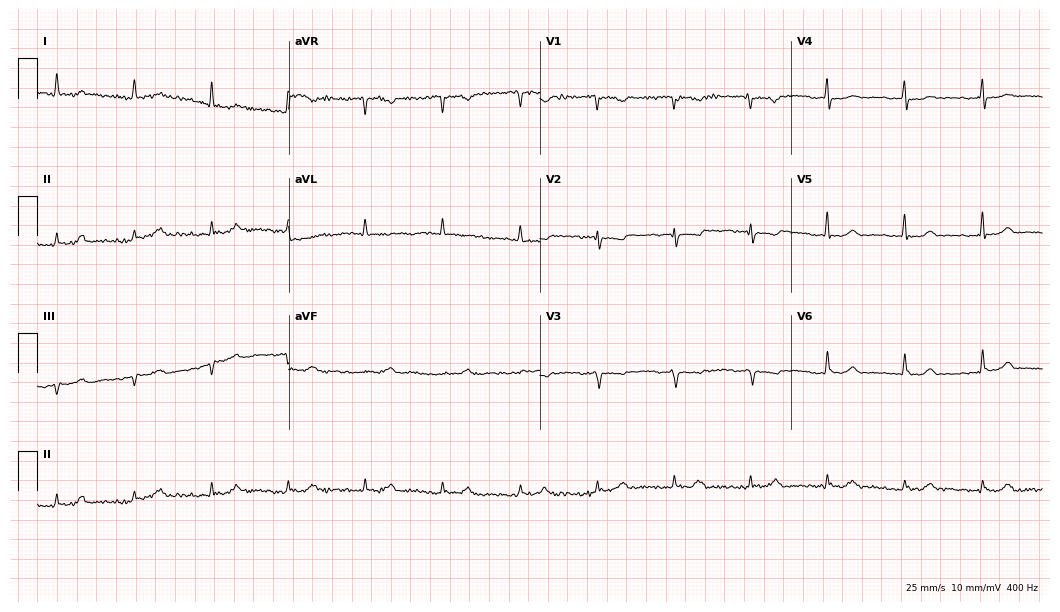
Resting 12-lead electrocardiogram. Patient: a woman, 83 years old. None of these six findings is recorded: first-degree AV block, right bundle branch block, left bundle branch block, sinus bradycardia, atrial fibrillation, sinus tachycardia.